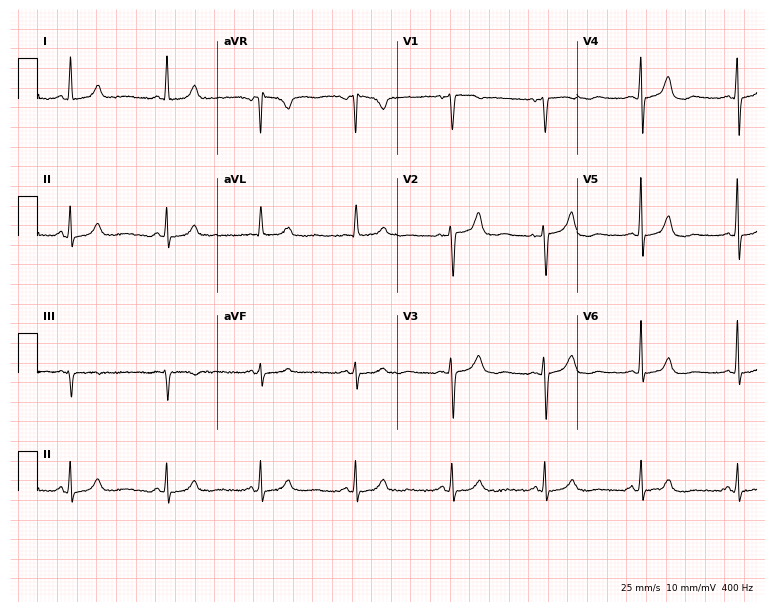
12-lead ECG from a 73-year-old female (7.3-second recording at 400 Hz). Recorded interpretation: within normal limits.